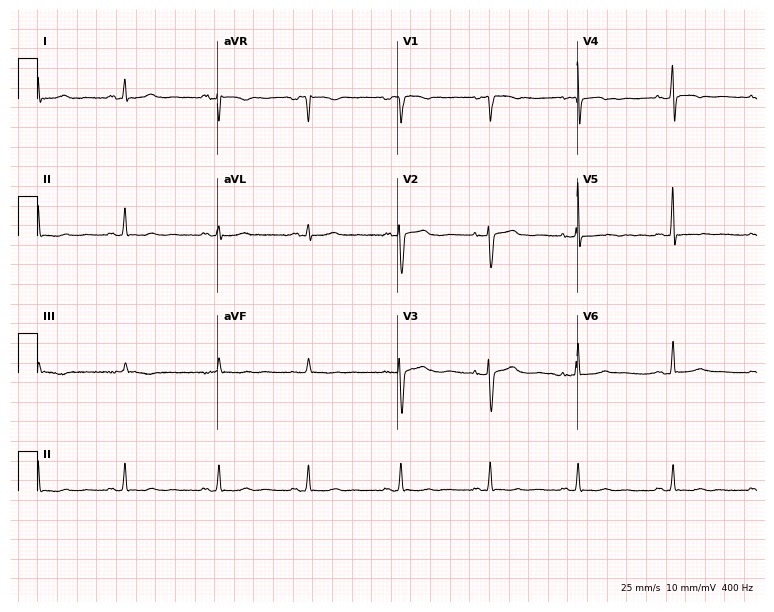
12-lead ECG (7.3-second recording at 400 Hz) from a 51-year-old female patient. Screened for six findings — first-degree AV block, right bundle branch block (RBBB), left bundle branch block (LBBB), sinus bradycardia, atrial fibrillation (AF), sinus tachycardia — none is recorded.